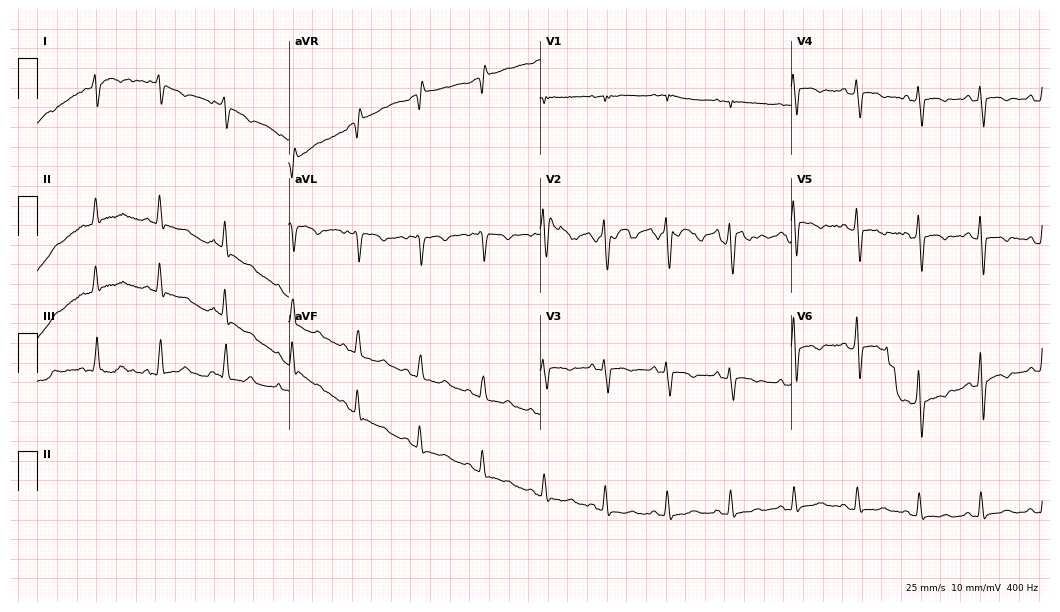
Standard 12-lead ECG recorded from a 41-year-old female patient (10.2-second recording at 400 Hz). None of these six findings is recorded: first-degree AV block, right bundle branch block (RBBB), left bundle branch block (LBBB), sinus bradycardia, atrial fibrillation (AF), sinus tachycardia.